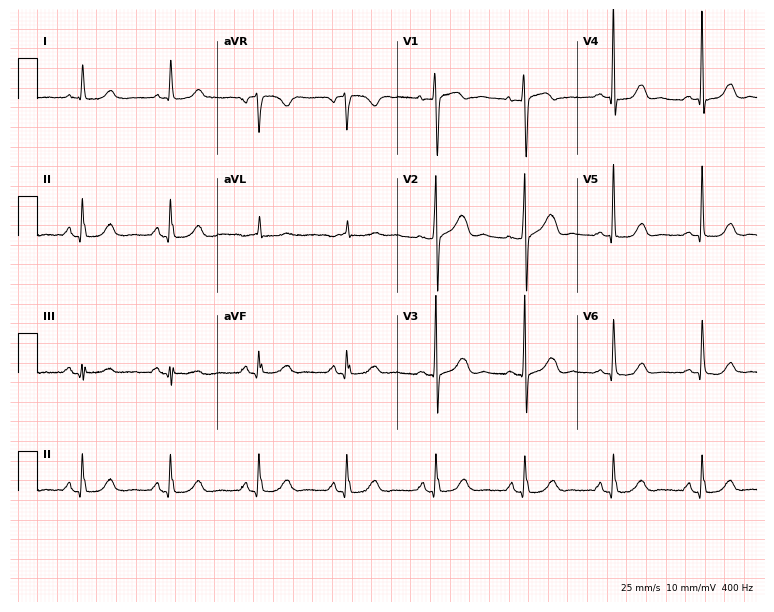
ECG — a 55-year-old female. Screened for six findings — first-degree AV block, right bundle branch block, left bundle branch block, sinus bradycardia, atrial fibrillation, sinus tachycardia — none is recorded.